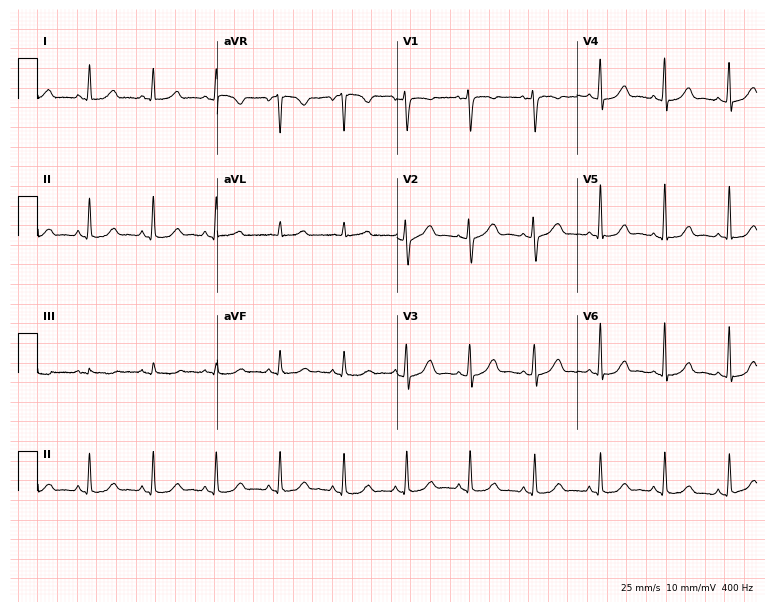
12-lead ECG from a female, 42 years old. Recorded interpretation: within normal limits.